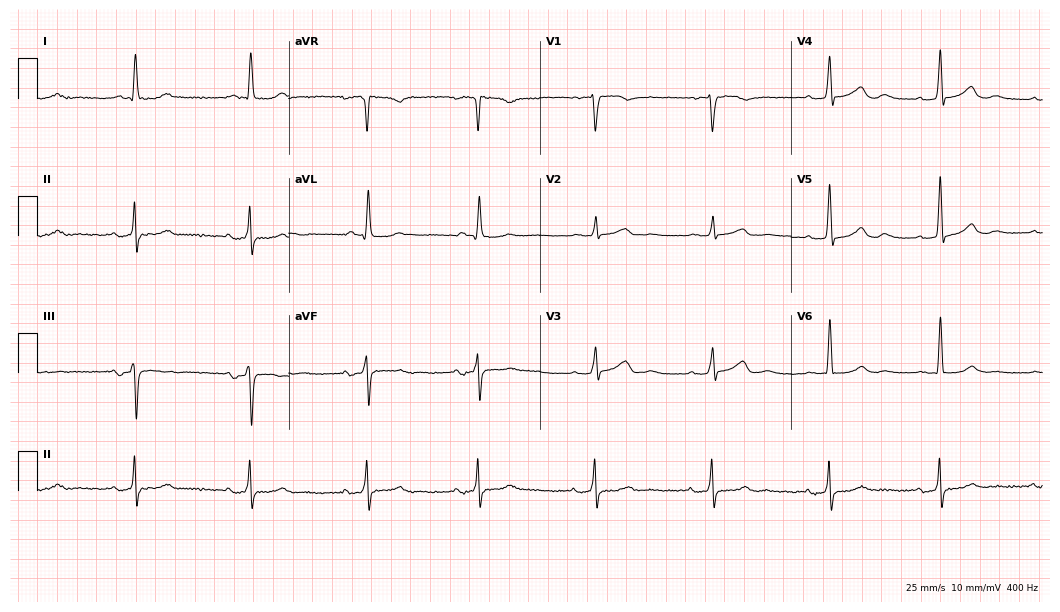
ECG (10.2-second recording at 400 Hz) — a 70-year-old female. Screened for six findings — first-degree AV block, right bundle branch block, left bundle branch block, sinus bradycardia, atrial fibrillation, sinus tachycardia — none is recorded.